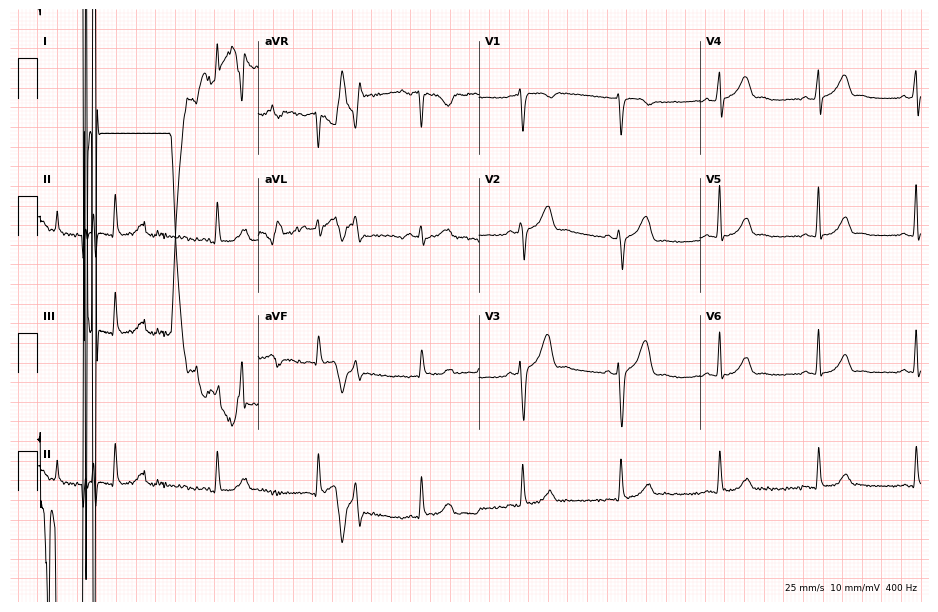
Standard 12-lead ECG recorded from a 37-year-old male (9-second recording at 400 Hz). None of these six findings is recorded: first-degree AV block, right bundle branch block, left bundle branch block, sinus bradycardia, atrial fibrillation, sinus tachycardia.